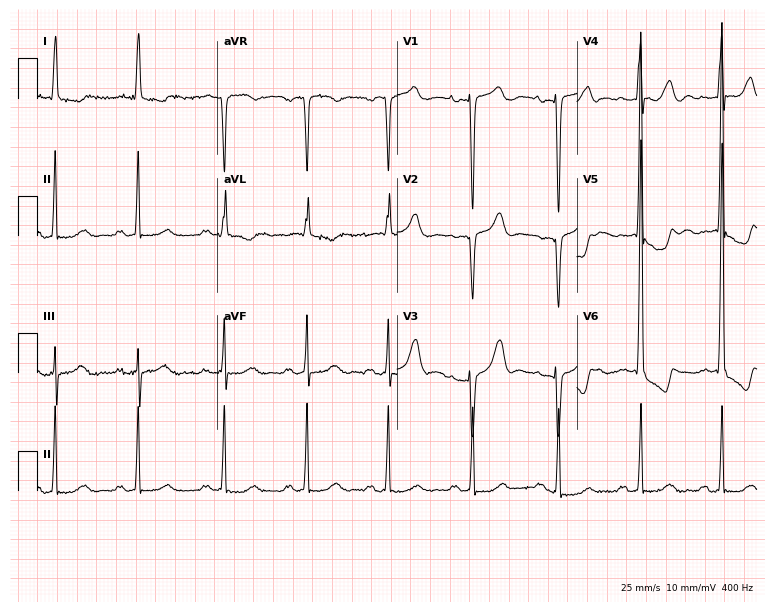
12-lead ECG (7.3-second recording at 400 Hz) from a 77-year-old female patient. Screened for six findings — first-degree AV block, right bundle branch block, left bundle branch block, sinus bradycardia, atrial fibrillation, sinus tachycardia — none is recorded.